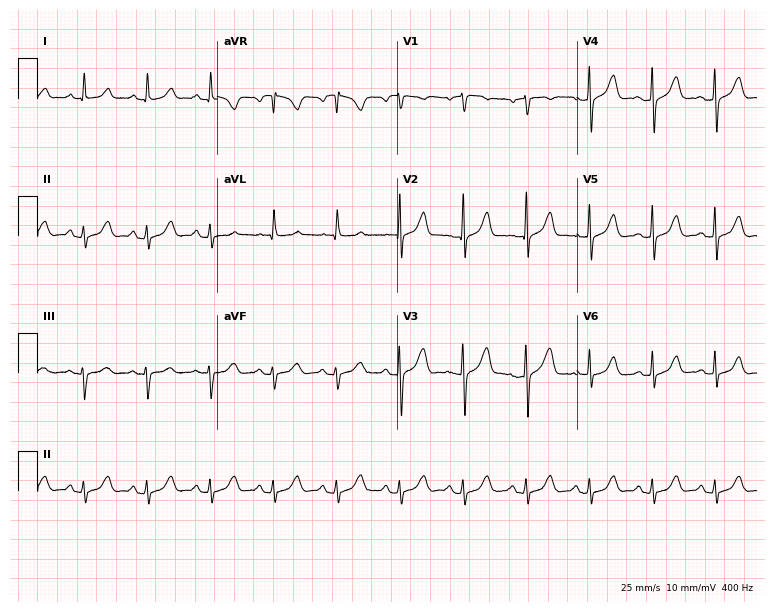
12-lead ECG from a woman, 64 years old. Recorded interpretation: within normal limits.